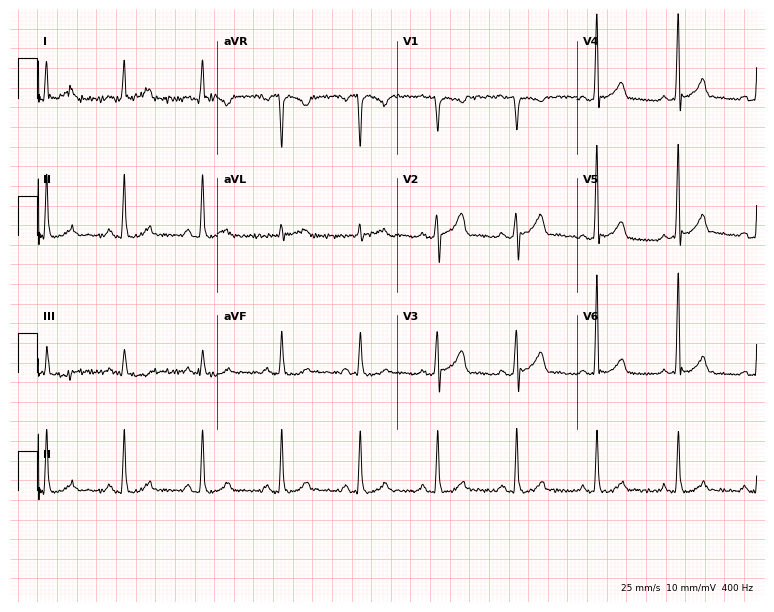
Electrocardiogram (7.3-second recording at 400 Hz), a man, 45 years old. Overall reading on record: normal ECG.